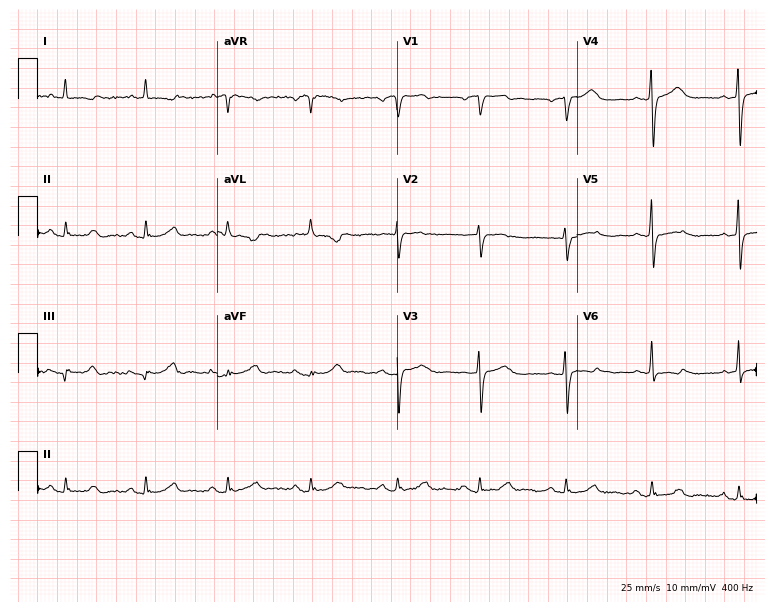
Resting 12-lead electrocardiogram. Patient: a 73-year-old female. None of these six findings is recorded: first-degree AV block, right bundle branch block (RBBB), left bundle branch block (LBBB), sinus bradycardia, atrial fibrillation (AF), sinus tachycardia.